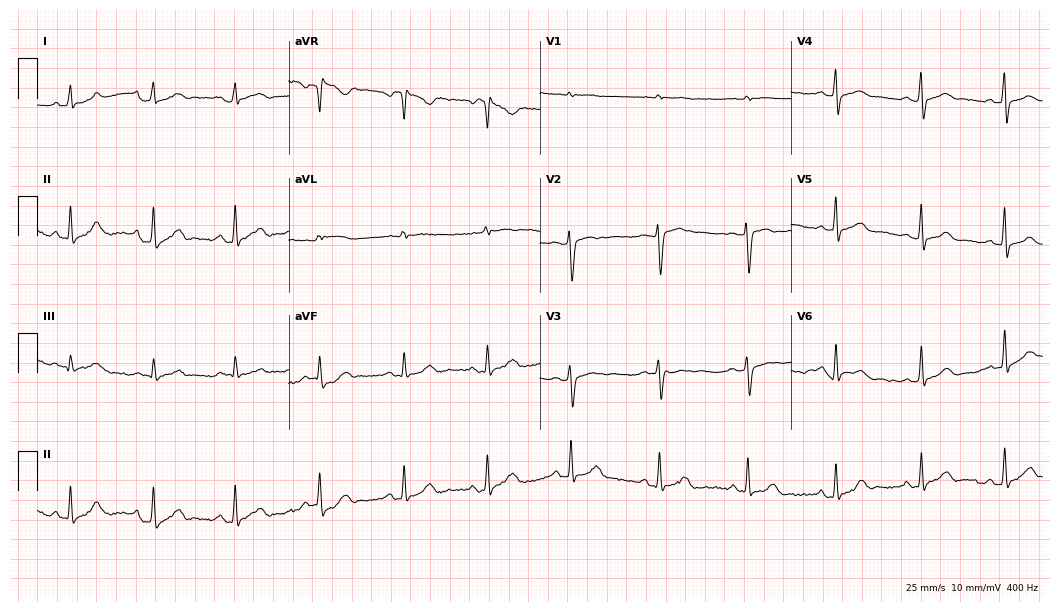
12-lead ECG (10.2-second recording at 400 Hz) from a female patient, 29 years old. Screened for six findings — first-degree AV block, right bundle branch block, left bundle branch block, sinus bradycardia, atrial fibrillation, sinus tachycardia — none is recorded.